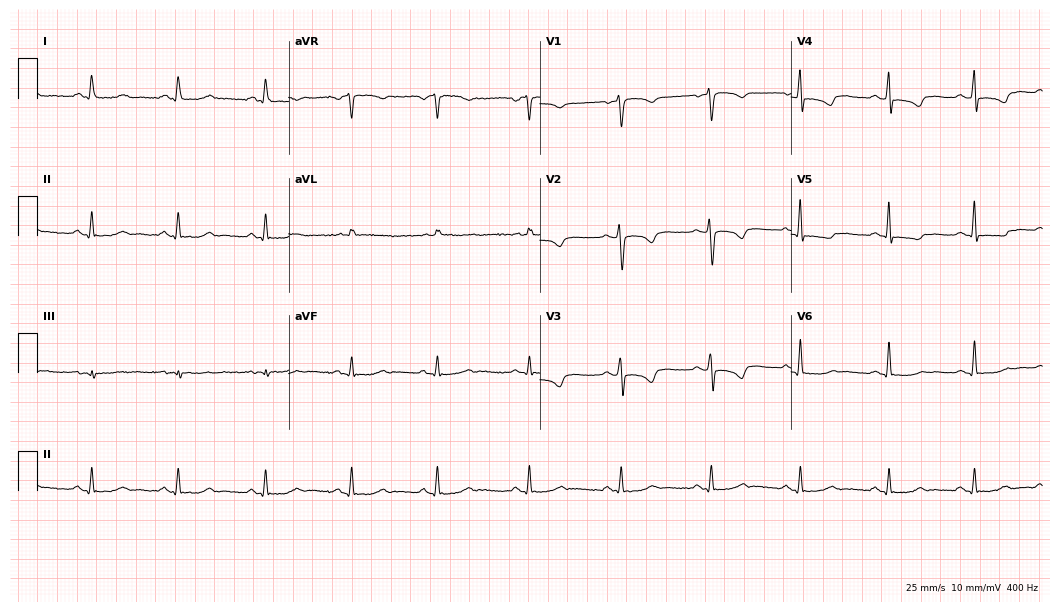
Electrocardiogram, a 57-year-old female patient. Of the six screened findings (first-degree AV block, right bundle branch block (RBBB), left bundle branch block (LBBB), sinus bradycardia, atrial fibrillation (AF), sinus tachycardia), none is recorded. Findings outside these six are not listed.